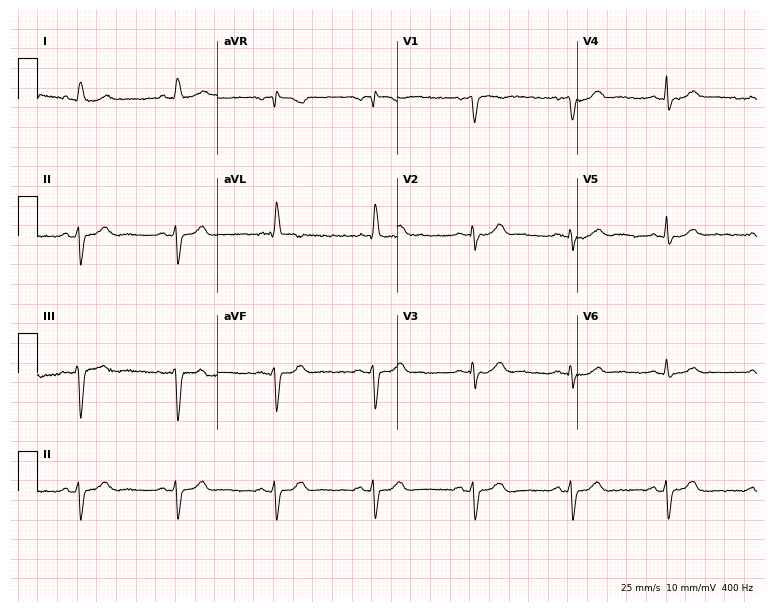
Standard 12-lead ECG recorded from an 81-year-old male patient. None of these six findings is recorded: first-degree AV block, right bundle branch block, left bundle branch block, sinus bradycardia, atrial fibrillation, sinus tachycardia.